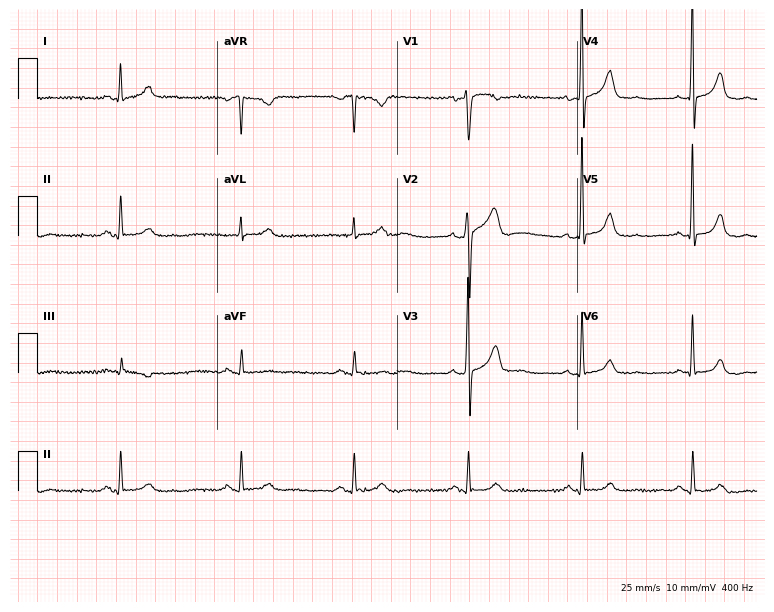
Standard 12-lead ECG recorded from a 56-year-old male. Read as a normal ECG.